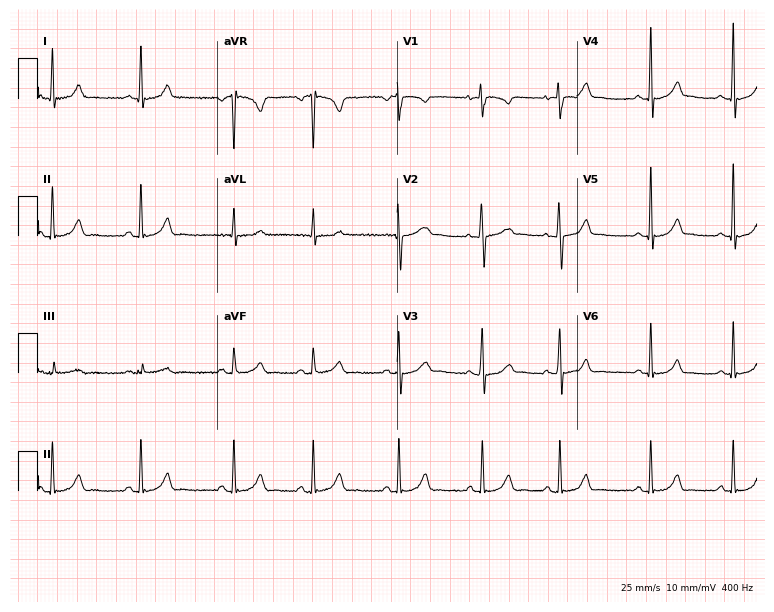
12-lead ECG from a 30-year-old male patient. Labelled as a normal ECG.